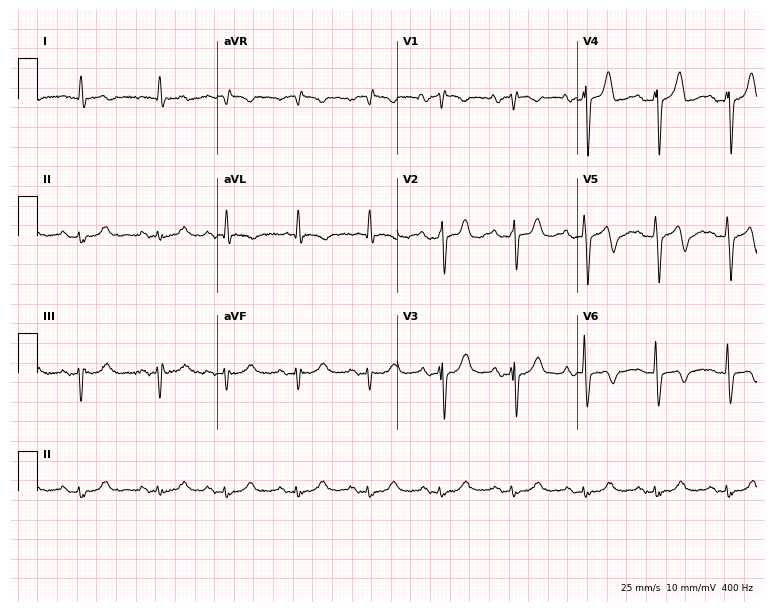
Resting 12-lead electrocardiogram (7.3-second recording at 400 Hz). Patient: a man, 85 years old. None of these six findings is recorded: first-degree AV block, right bundle branch block, left bundle branch block, sinus bradycardia, atrial fibrillation, sinus tachycardia. Findings outside these six are not listed.